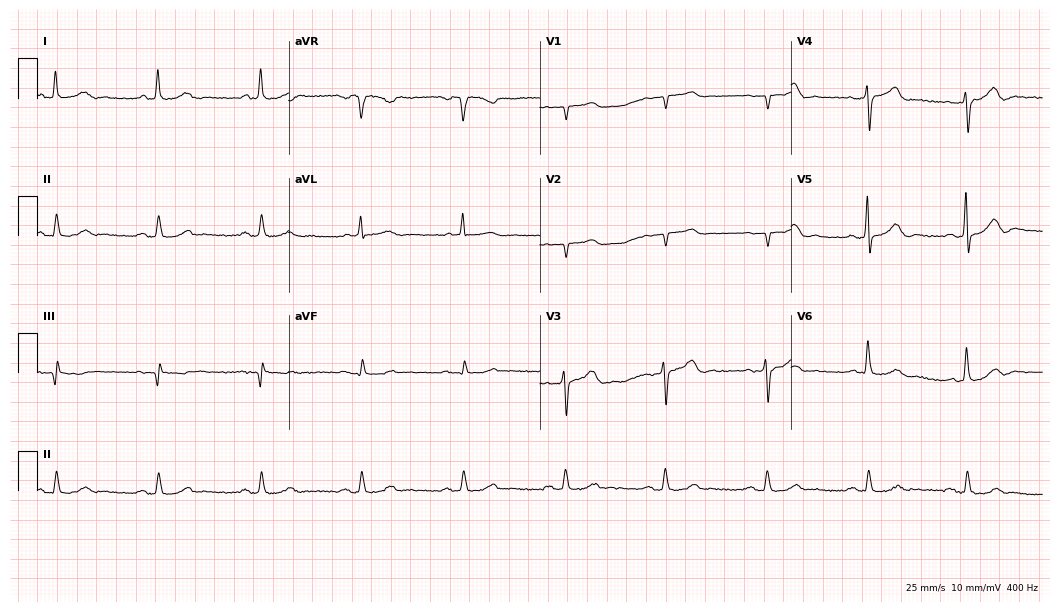
Resting 12-lead electrocardiogram (10.2-second recording at 400 Hz). Patient: a man, 80 years old. None of these six findings is recorded: first-degree AV block, right bundle branch block, left bundle branch block, sinus bradycardia, atrial fibrillation, sinus tachycardia.